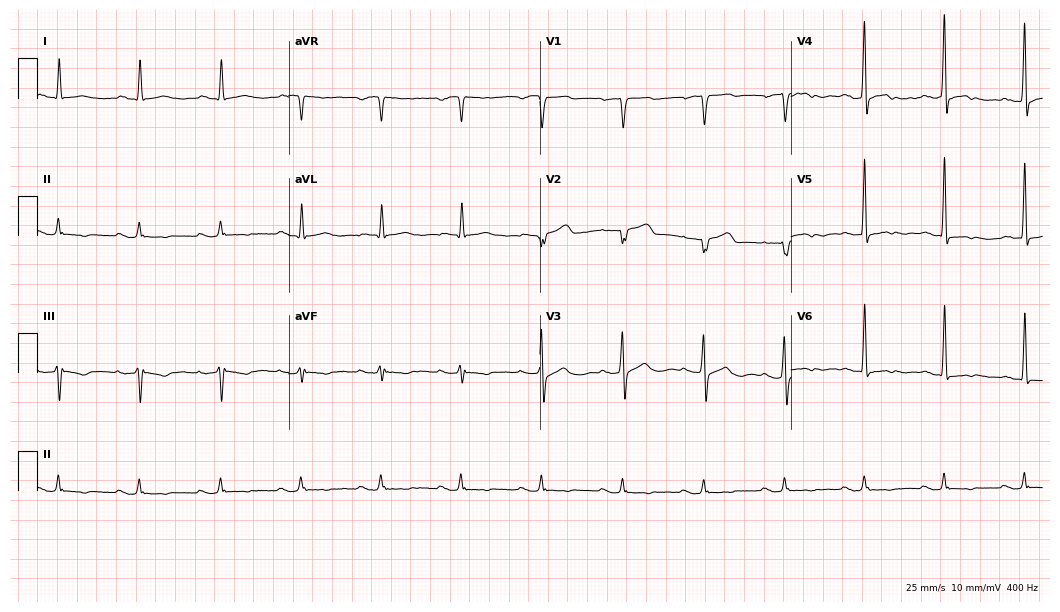
Electrocardiogram, an 80-year-old male patient. Of the six screened findings (first-degree AV block, right bundle branch block (RBBB), left bundle branch block (LBBB), sinus bradycardia, atrial fibrillation (AF), sinus tachycardia), none is recorded.